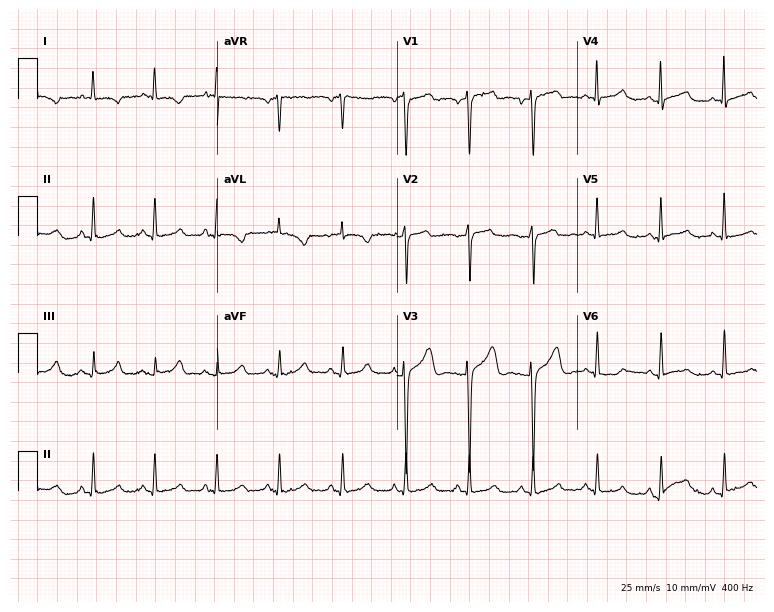
Resting 12-lead electrocardiogram. Patient: a female, 45 years old. None of these six findings is recorded: first-degree AV block, right bundle branch block (RBBB), left bundle branch block (LBBB), sinus bradycardia, atrial fibrillation (AF), sinus tachycardia. Only these six findings were labelled.